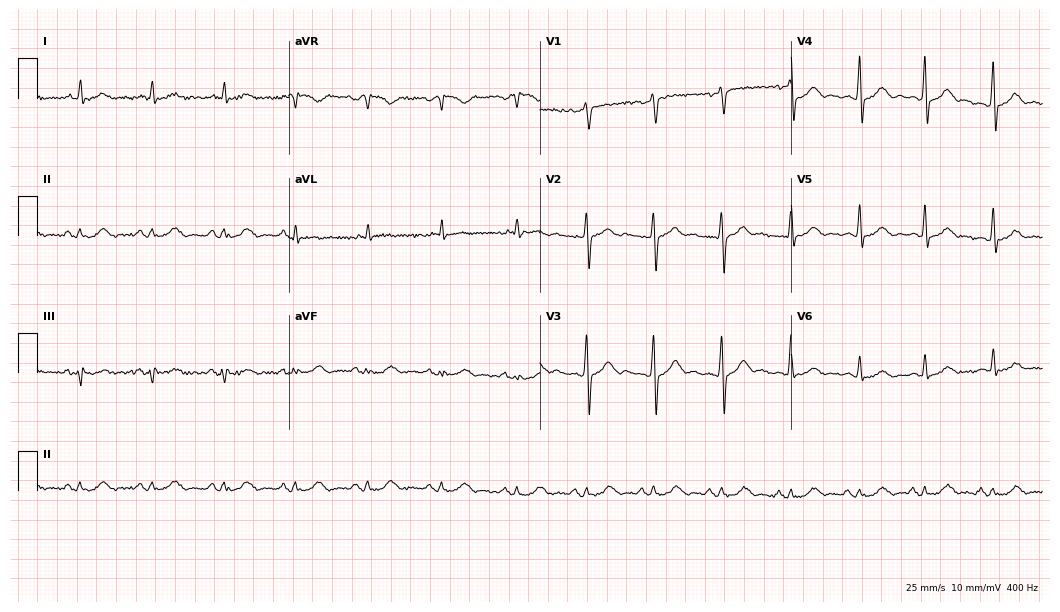
Electrocardiogram, a male patient, 55 years old. Overall reading on record: normal ECG.